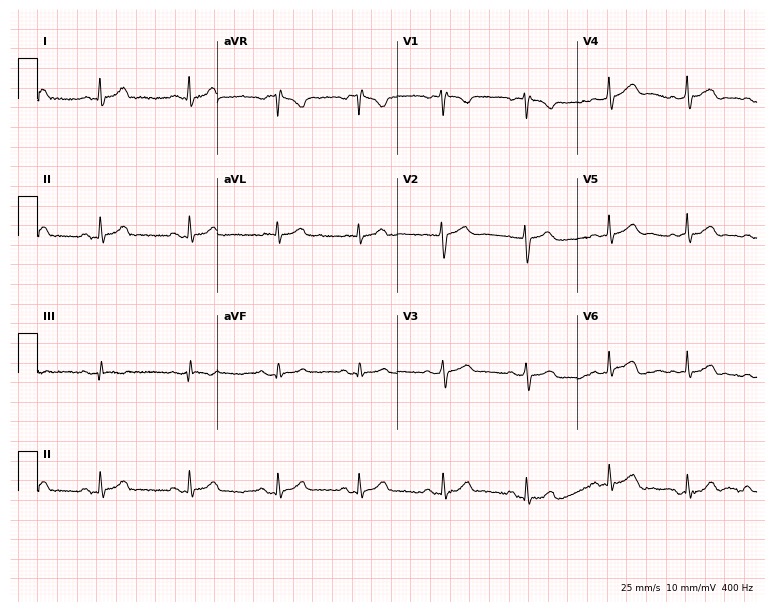
ECG — a 39-year-old female. Screened for six findings — first-degree AV block, right bundle branch block, left bundle branch block, sinus bradycardia, atrial fibrillation, sinus tachycardia — none is recorded. Findings outside these six are not listed.